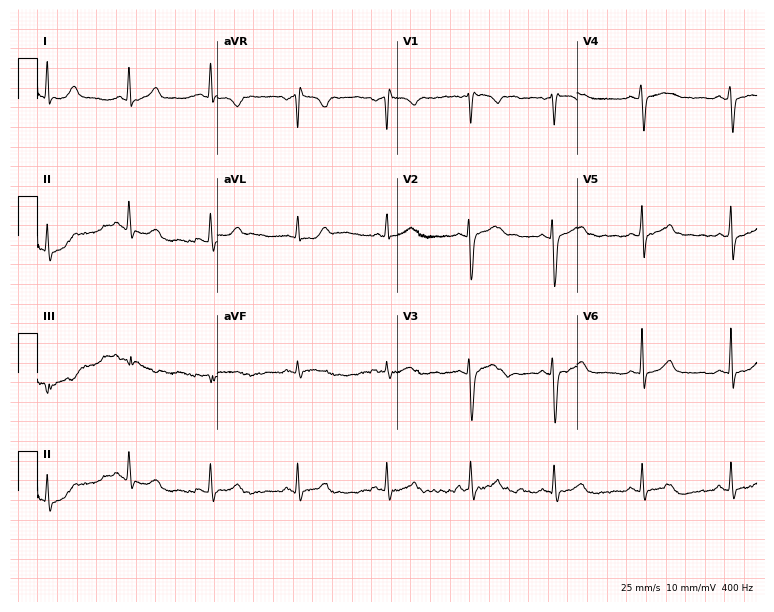
12-lead ECG from a female patient, 18 years old. No first-degree AV block, right bundle branch block (RBBB), left bundle branch block (LBBB), sinus bradycardia, atrial fibrillation (AF) or sinus tachycardia recorded for this tracing.